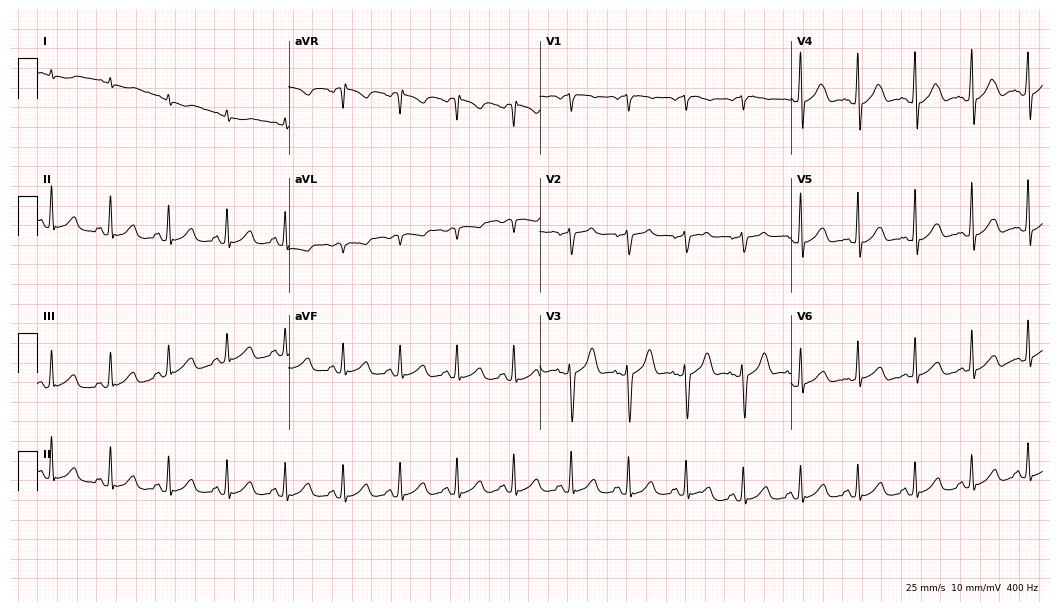
ECG — a 51-year-old male patient. Findings include sinus tachycardia (a sinus rate of 100 beats per minute or more).